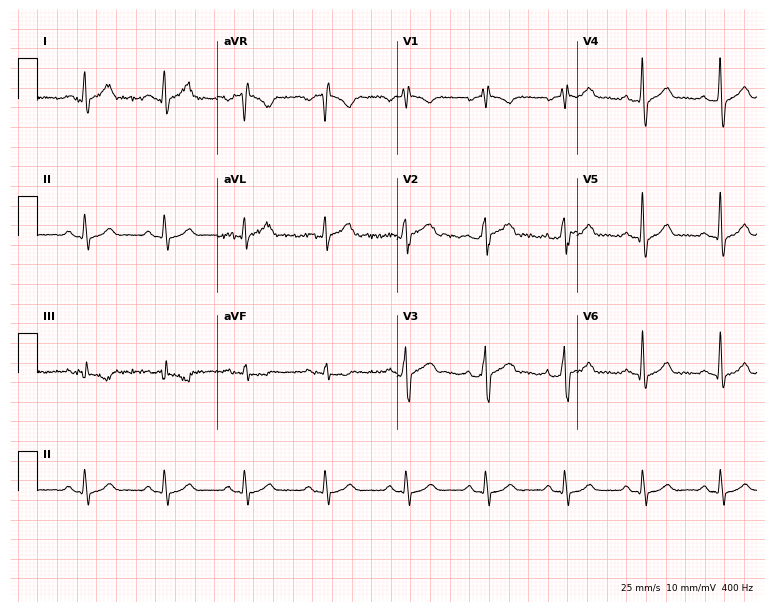
Resting 12-lead electrocardiogram (7.3-second recording at 400 Hz). Patient: a man, 47 years old. None of these six findings is recorded: first-degree AV block, right bundle branch block, left bundle branch block, sinus bradycardia, atrial fibrillation, sinus tachycardia.